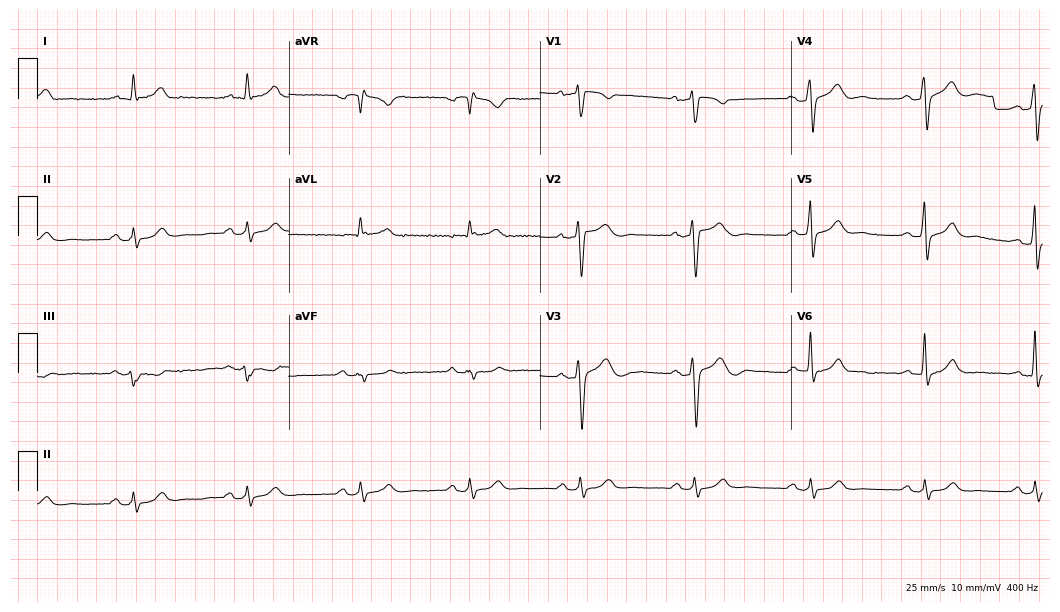
Resting 12-lead electrocardiogram. Patient: a 50-year-old male. None of these six findings is recorded: first-degree AV block, right bundle branch block, left bundle branch block, sinus bradycardia, atrial fibrillation, sinus tachycardia. Findings outside these six are not listed.